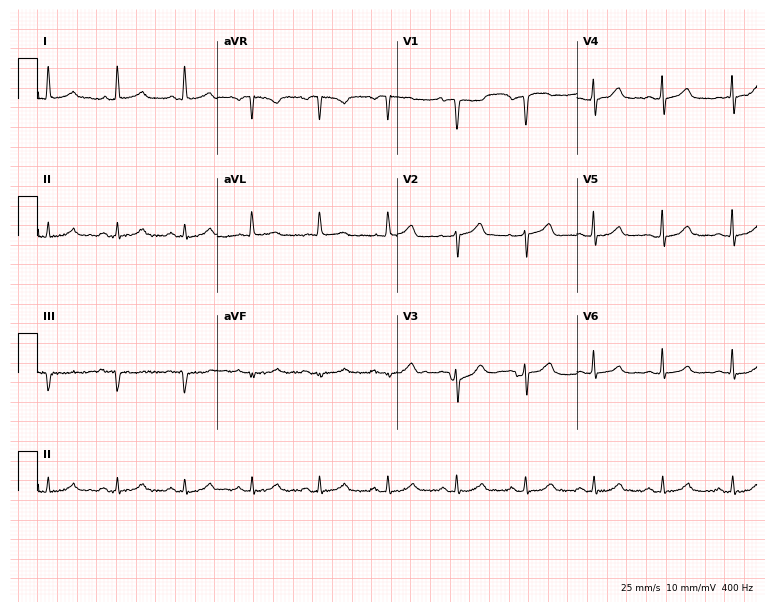
12-lead ECG from a 64-year-old female (7.3-second recording at 400 Hz). Recorded interpretation: within normal limits.